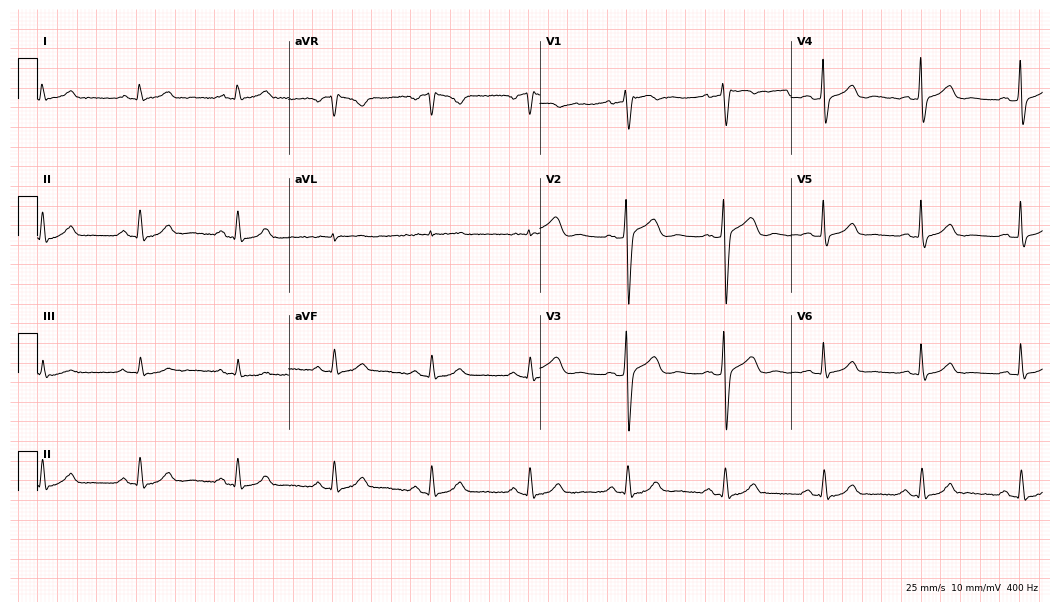
12-lead ECG from a male patient, 65 years old (10.2-second recording at 400 Hz). No first-degree AV block, right bundle branch block, left bundle branch block, sinus bradycardia, atrial fibrillation or sinus tachycardia recorded for this tracing.